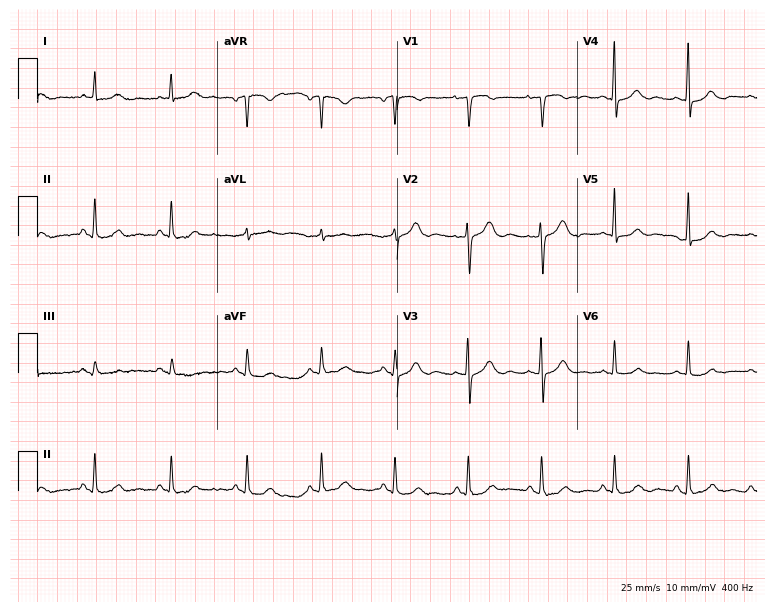
Electrocardiogram (7.3-second recording at 400 Hz), a 54-year-old woman. Of the six screened findings (first-degree AV block, right bundle branch block, left bundle branch block, sinus bradycardia, atrial fibrillation, sinus tachycardia), none is recorded. Only these six findings were labelled.